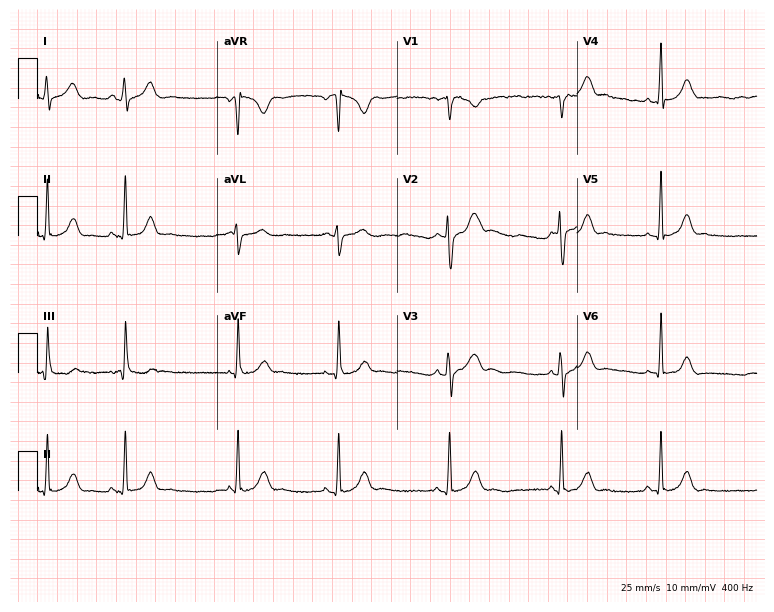
Electrocardiogram, a 17-year-old woman. Overall reading on record: normal ECG.